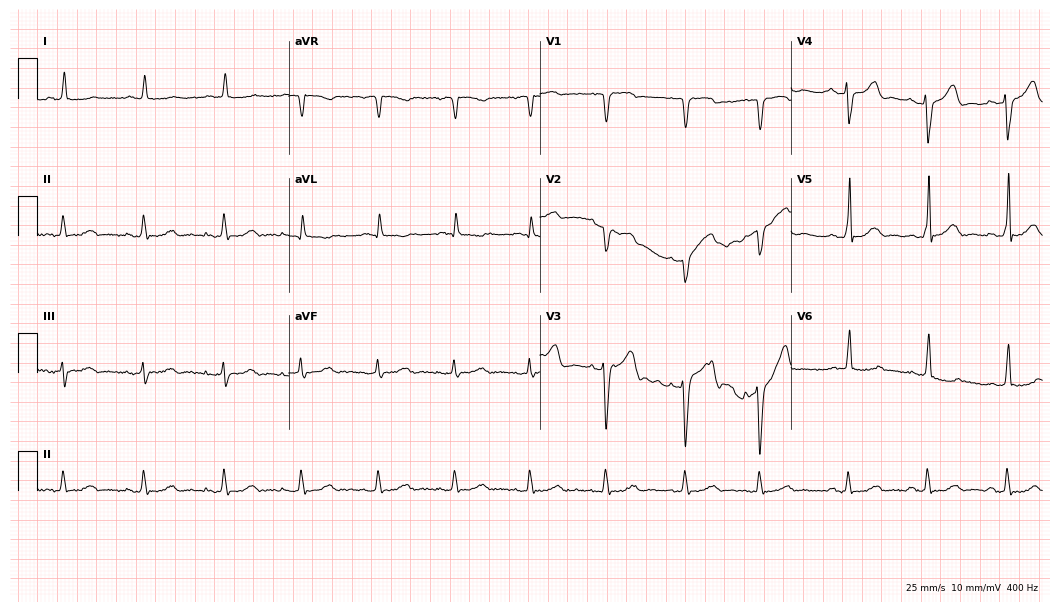
12-lead ECG from a male, 86 years old (10.2-second recording at 400 Hz). No first-degree AV block, right bundle branch block (RBBB), left bundle branch block (LBBB), sinus bradycardia, atrial fibrillation (AF) or sinus tachycardia recorded for this tracing.